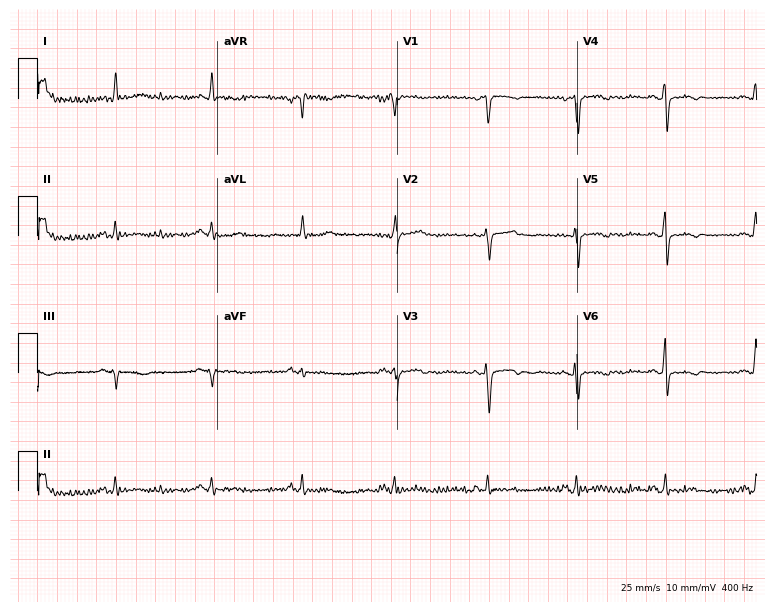
Resting 12-lead electrocardiogram (7.3-second recording at 400 Hz). Patient: a 65-year-old woman. None of these six findings is recorded: first-degree AV block, right bundle branch block, left bundle branch block, sinus bradycardia, atrial fibrillation, sinus tachycardia.